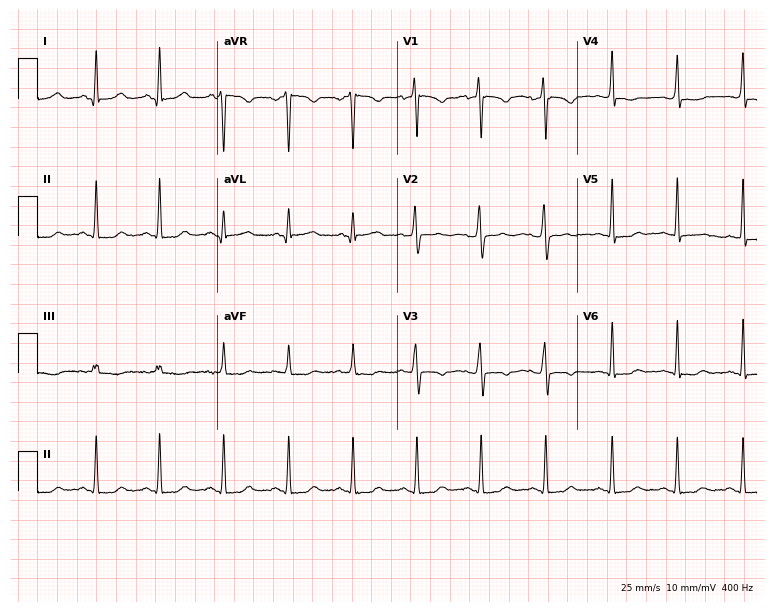
Electrocardiogram (7.3-second recording at 400 Hz), a woman, 20 years old. Of the six screened findings (first-degree AV block, right bundle branch block, left bundle branch block, sinus bradycardia, atrial fibrillation, sinus tachycardia), none is recorded. Findings outside these six are not listed.